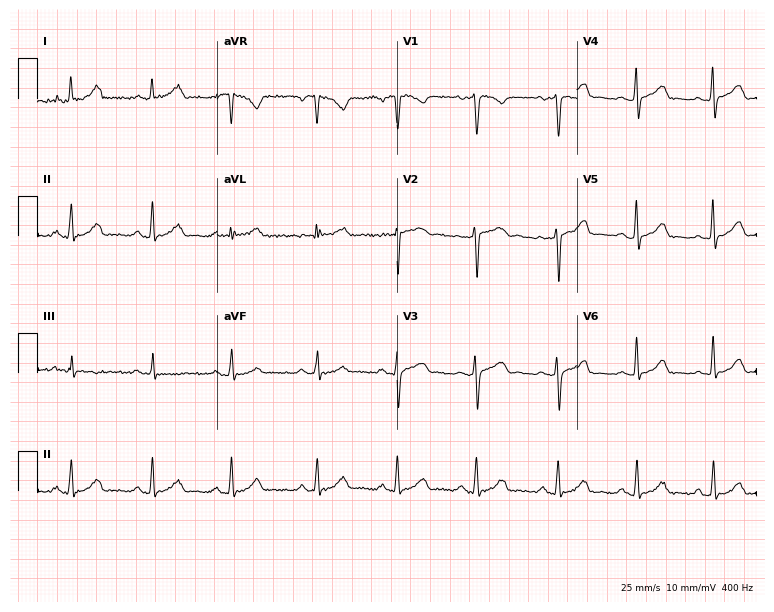
Standard 12-lead ECG recorded from a 36-year-old female patient. None of these six findings is recorded: first-degree AV block, right bundle branch block, left bundle branch block, sinus bradycardia, atrial fibrillation, sinus tachycardia.